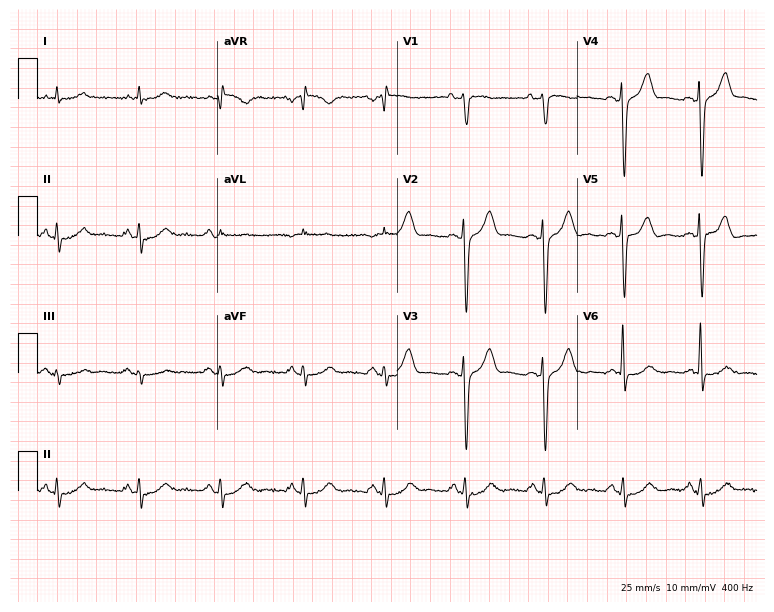
Standard 12-lead ECG recorded from a male, 61 years old (7.3-second recording at 400 Hz). None of these six findings is recorded: first-degree AV block, right bundle branch block, left bundle branch block, sinus bradycardia, atrial fibrillation, sinus tachycardia.